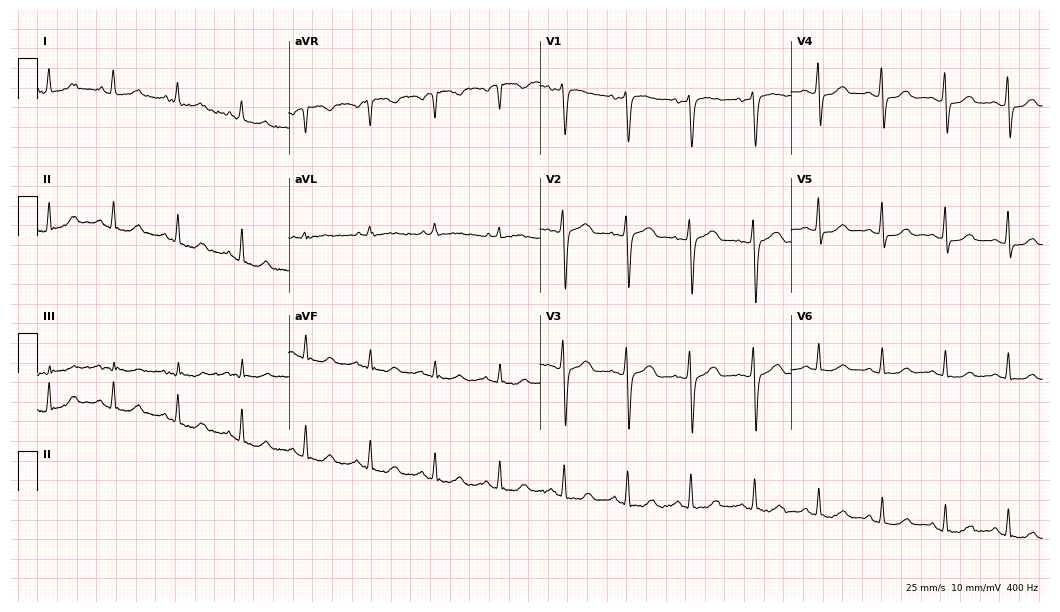
ECG (10.2-second recording at 400 Hz) — a female patient, 50 years old. Screened for six findings — first-degree AV block, right bundle branch block (RBBB), left bundle branch block (LBBB), sinus bradycardia, atrial fibrillation (AF), sinus tachycardia — none is recorded. Findings outside these six are not listed.